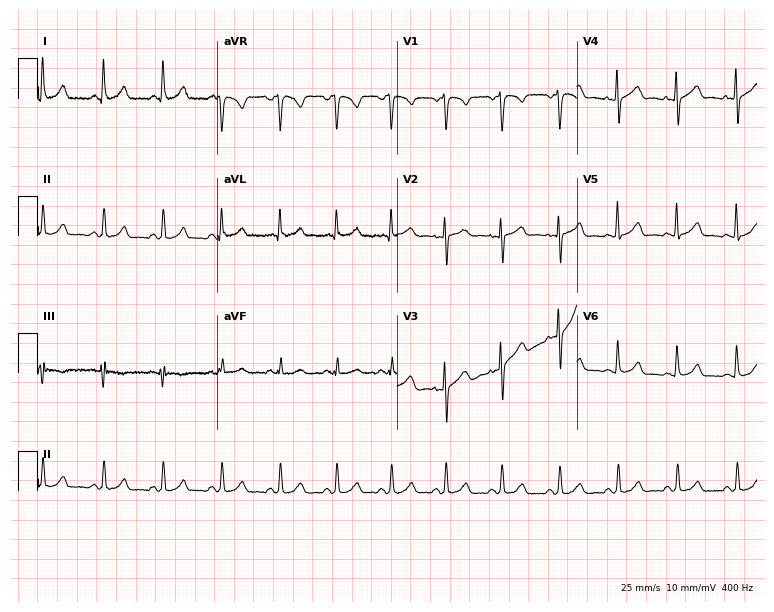
ECG — a 41-year-old female patient. Findings include sinus tachycardia (a sinus rate of 100 beats per minute or more).